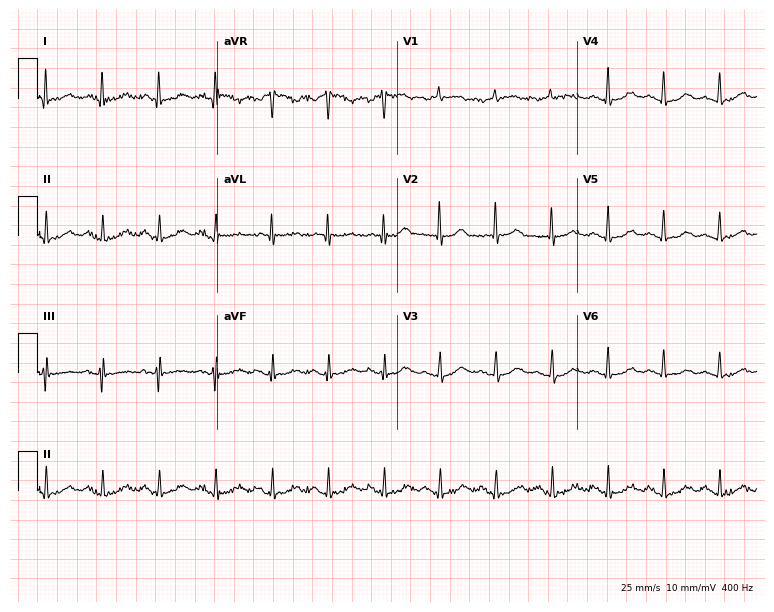
ECG (7.3-second recording at 400 Hz) — a female, 60 years old. Findings include sinus tachycardia (a sinus rate of 100 beats per minute or more).